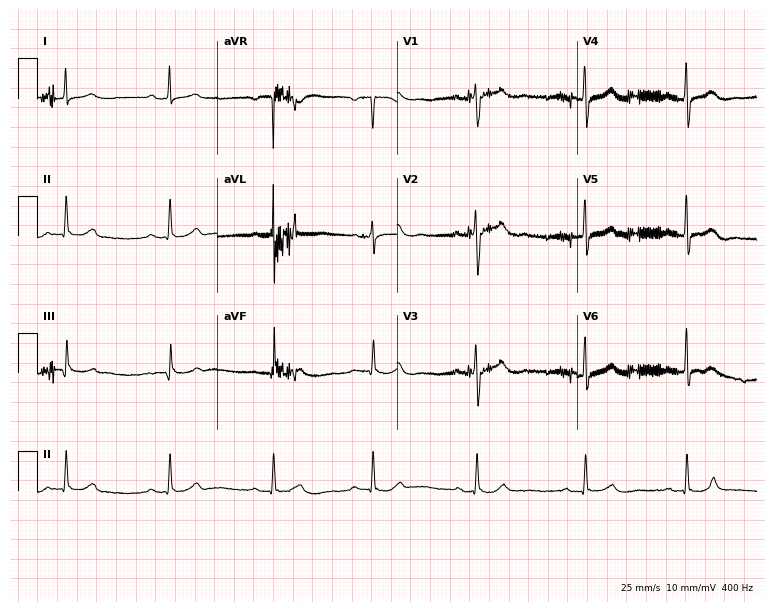
ECG (7.3-second recording at 400 Hz) — a 44-year-old woman. Labelled as a normal ECG.